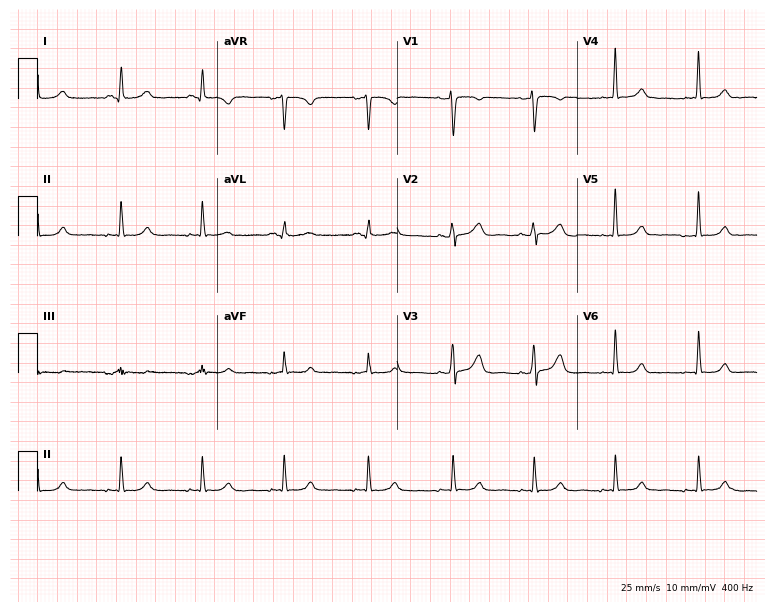
Standard 12-lead ECG recorded from a 43-year-old female patient. Read as a normal ECG.